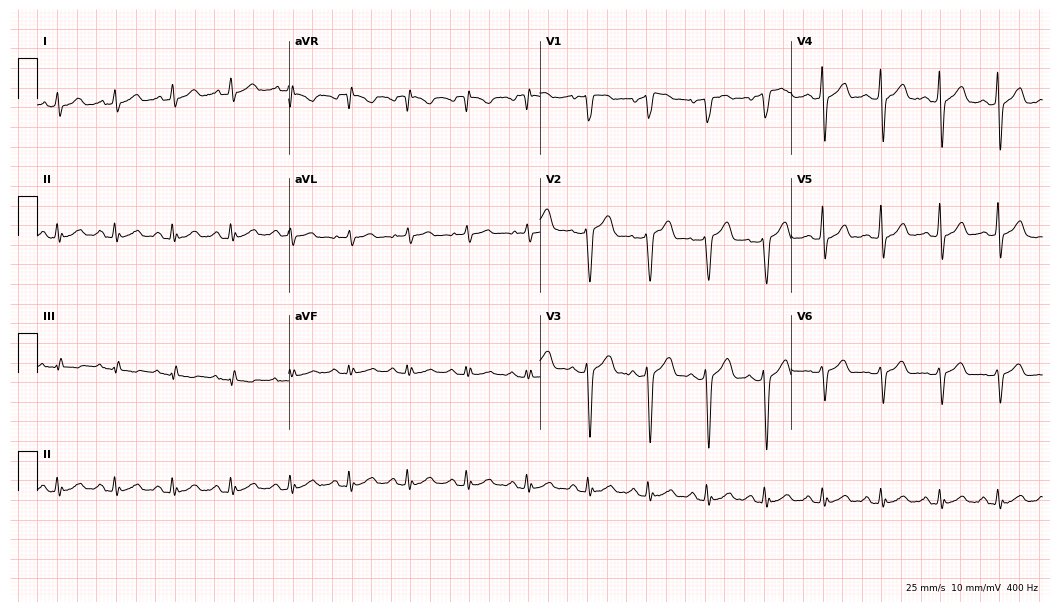
12-lead ECG from a 38-year-old male patient. Shows sinus tachycardia (a sinus rate of 100 beats per minute or more).